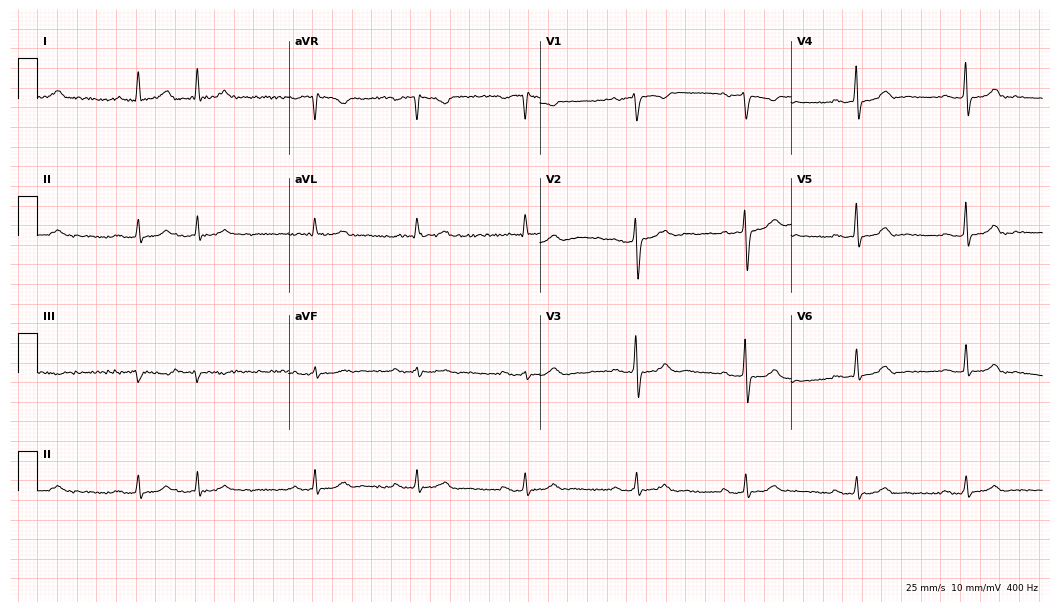
Standard 12-lead ECG recorded from a man, 75 years old (10.2-second recording at 400 Hz). Read as a normal ECG.